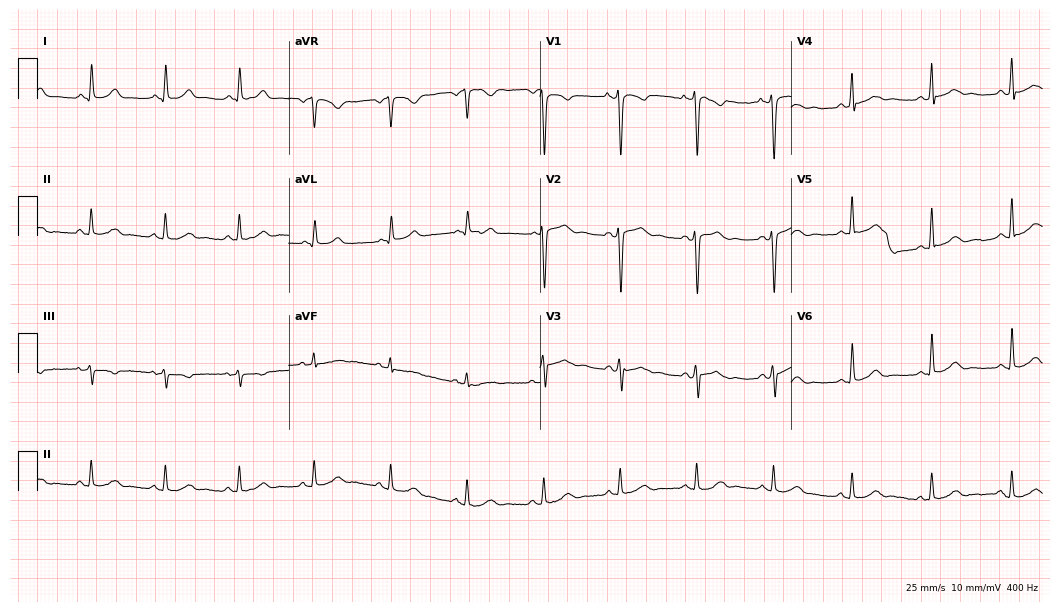
12-lead ECG from a male patient, 51 years old (10.2-second recording at 400 Hz). Recorded interpretation: within normal limits.